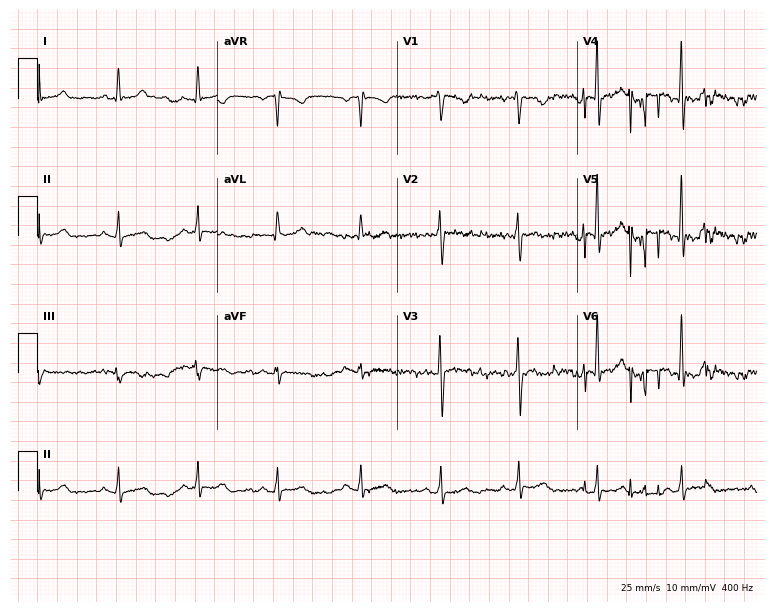
Resting 12-lead electrocardiogram. Patient: a 47-year-old female. None of these six findings is recorded: first-degree AV block, right bundle branch block, left bundle branch block, sinus bradycardia, atrial fibrillation, sinus tachycardia.